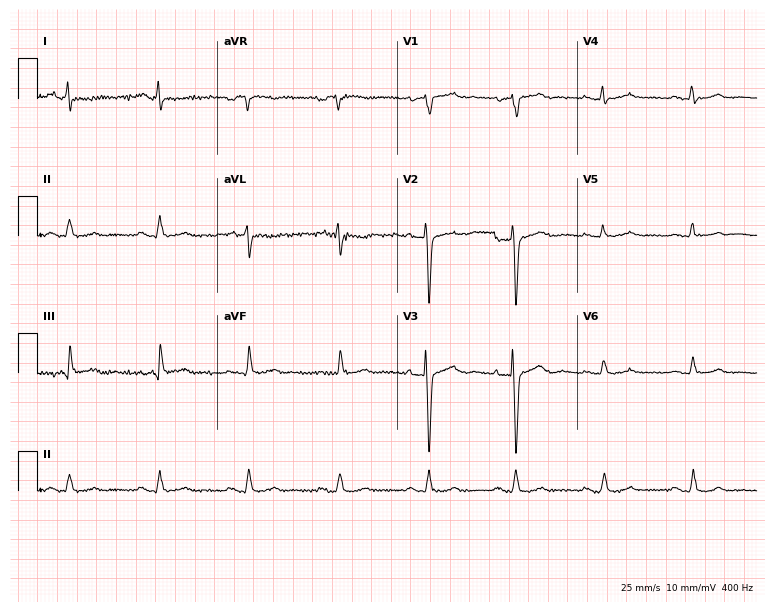
12-lead ECG from a woman, 80 years old (7.3-second recording at 400 Hz). No first-degree AV block, right bundle branch block (RBBB), left bundle branch block (LBBB), sinus bradycardia, atrial fibrillation (AF) or sinus tachycardia recorded for this tracing.